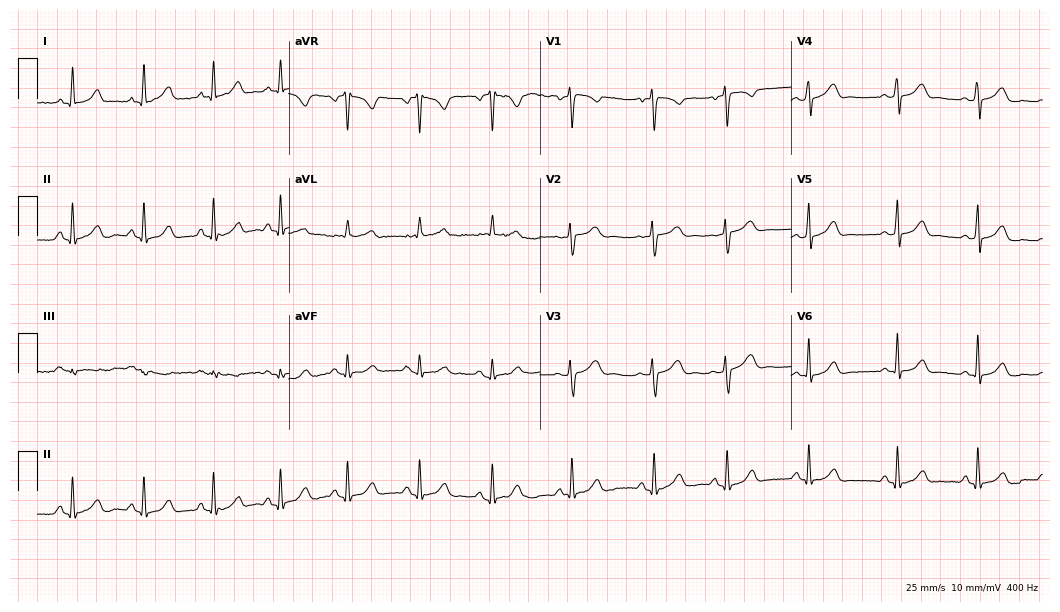
12-lead ECG from a female, 35 years old (10.2-second recording at 400 Hz). Recorded interpretation: within normal limits.